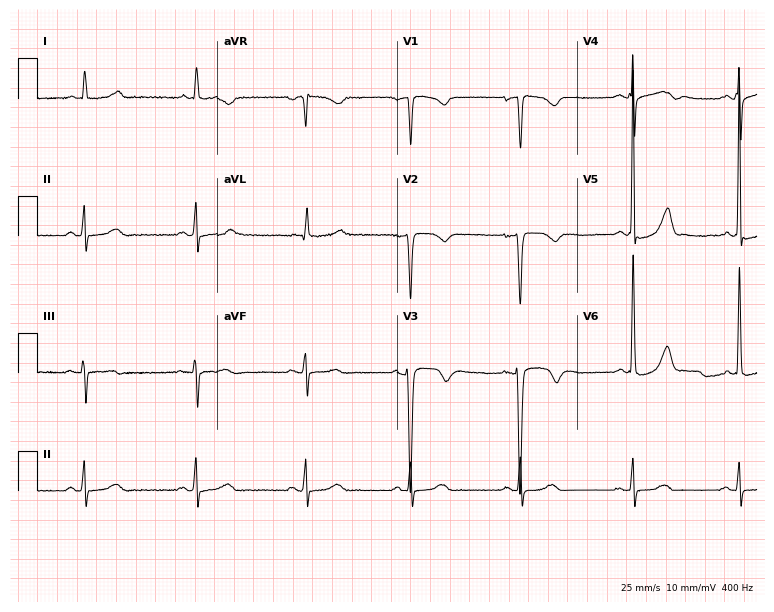
Electrocardiogram (7.3-second recording at 400 Hz), an 82-year-old female patient. Of the six screened findings (first-degree AV block, right bundle branch block (RBBB), left bundle branch block (LBBB), sinus bradycardia, atrial fibrillation (AF), sinus tachycardia), none is recorded. Only these six findings were labelled.